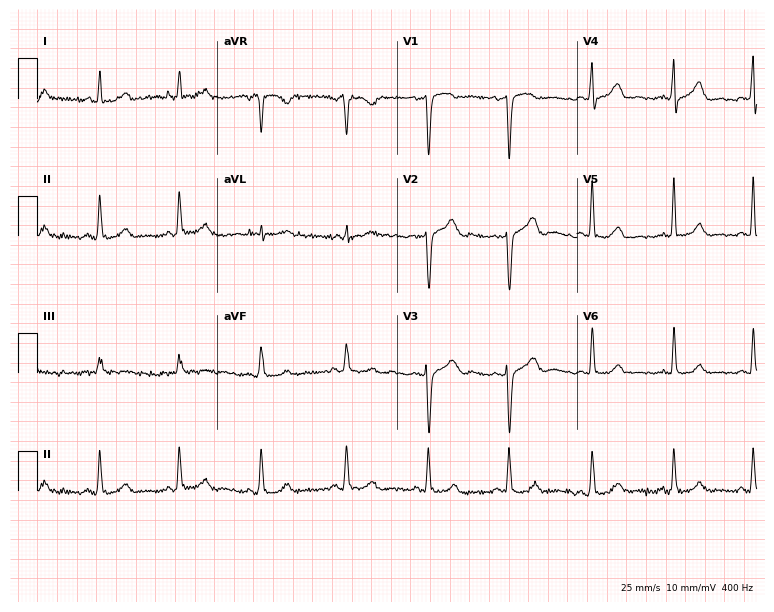
ECG — a woman, 38 years old. Labelled as a normal ECG.